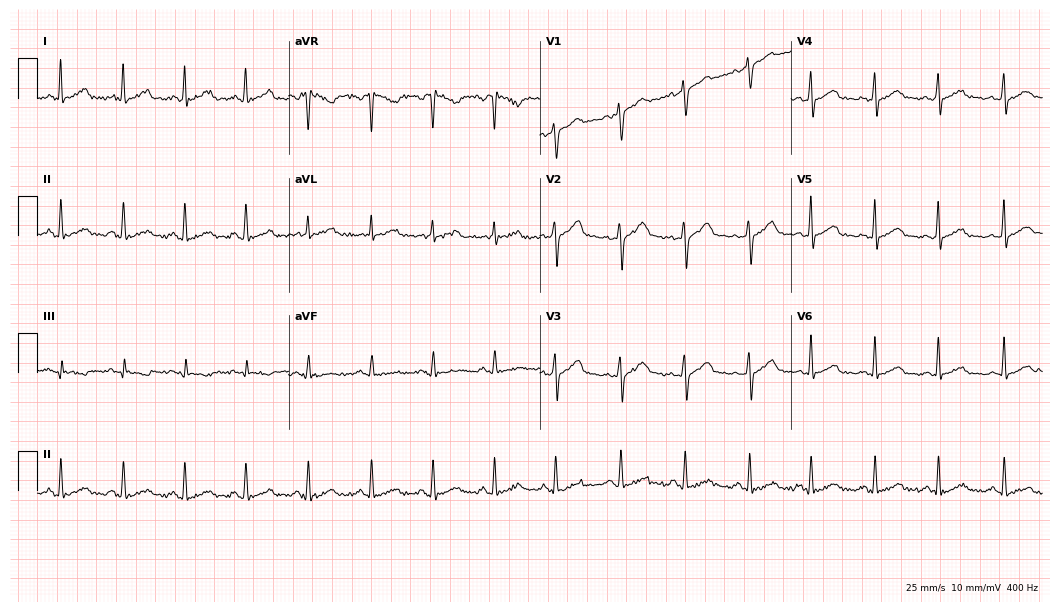
12-lead ECG from a male patient, 34 years old. Recorded interpretation: within normal limits.